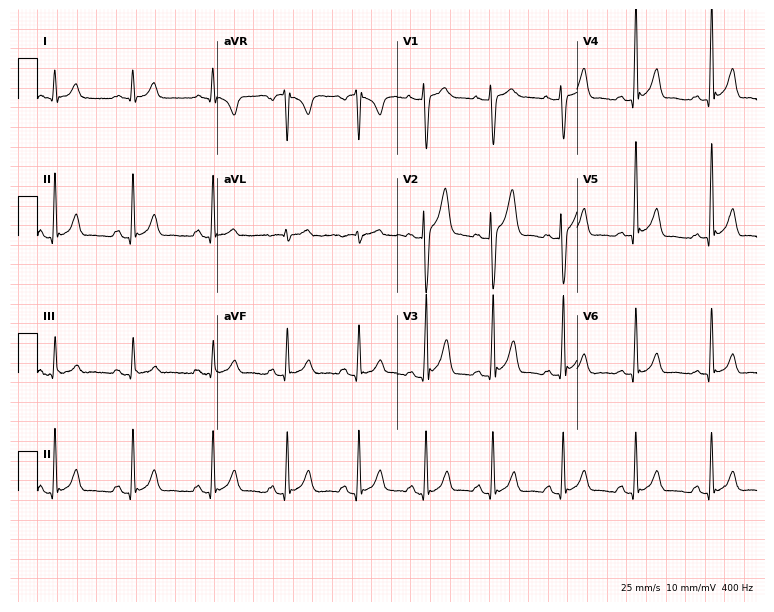
Standard 12-lead ECG recorded from a 29-year-old male (7.3-second recording at 400 Hz). None of these six findings is recorded: first-degree AV block, right bundle branch block, left bundle branch block, sinus bradycardia, atrial fibrillation, sinus tachycardia.